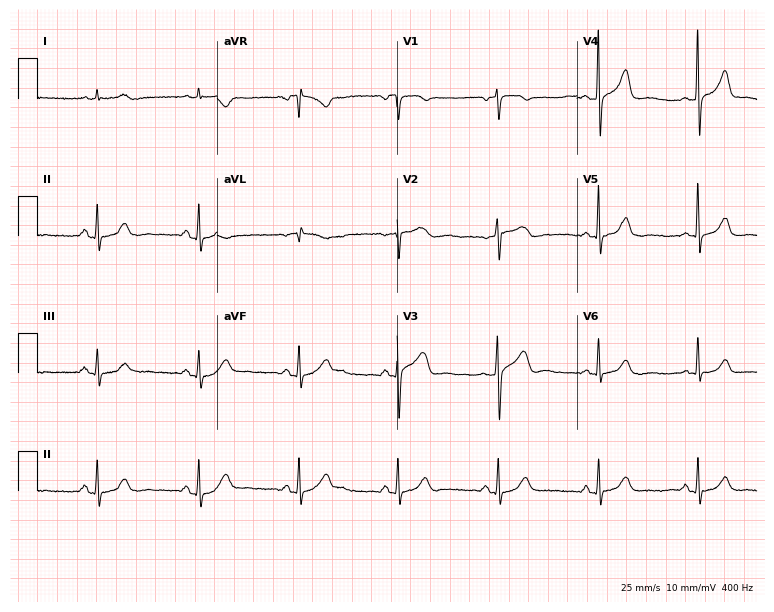
Electrocardiogram (7.3-second recording at 400 Hz), a female, 63 years old. Overall reading on record: normal ECG.